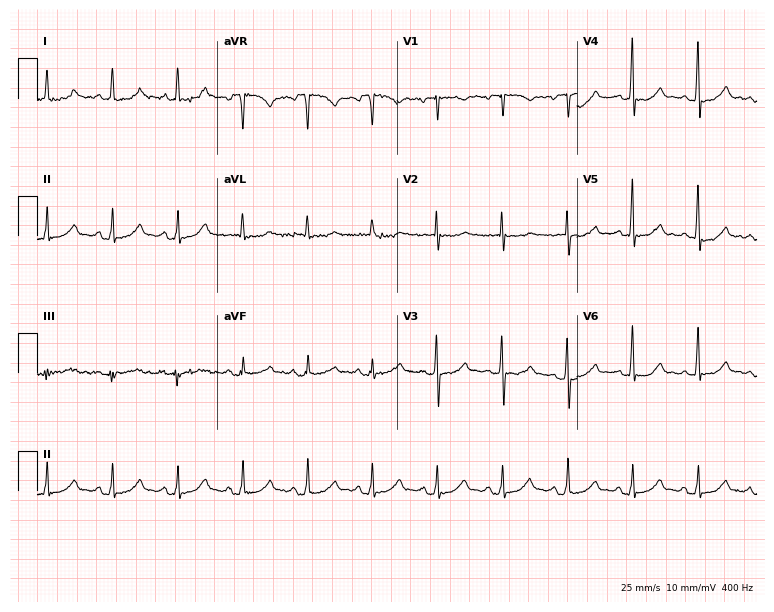
Resting 12-lead electrocardiogram (7.3-second recording at 400 Hz). Patient: a female, 62 years old. Read as a normal ECG.